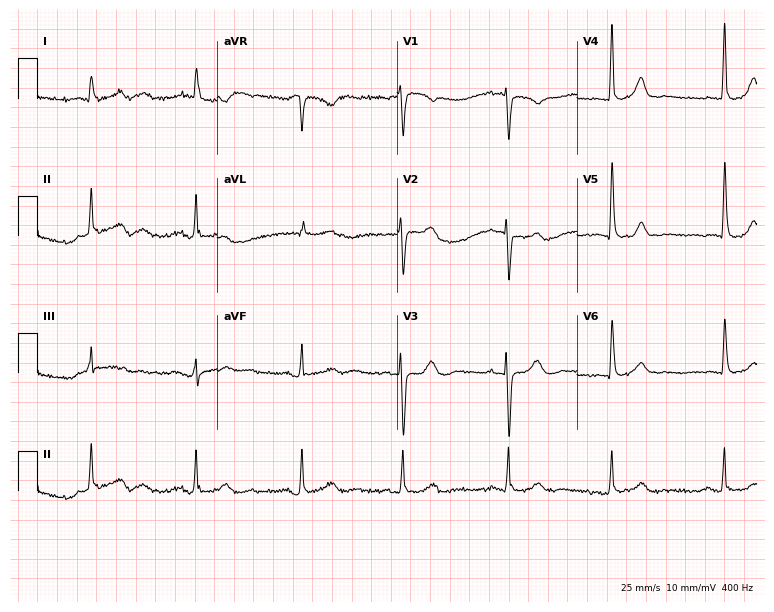
Standard 12-lead ECG recorded from an 80-year-old female patient. None of these six findings is recorded: first-degree AV block, right bundle branch block (RBBB), left bundle branch block (LBBB), sinus bradycardia, atrial fibrillation (AF), sinus tachycardia.